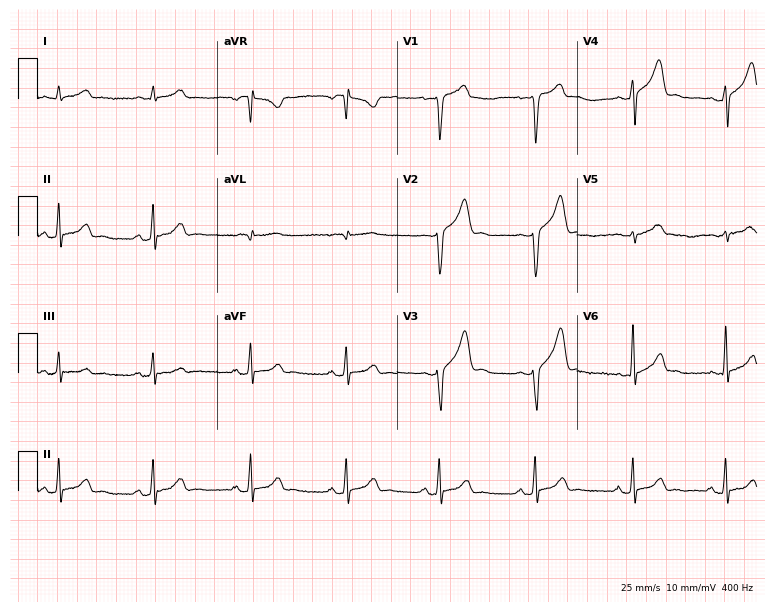
ECG — a male patient, 25 years old. Labelled as a normal ECG.